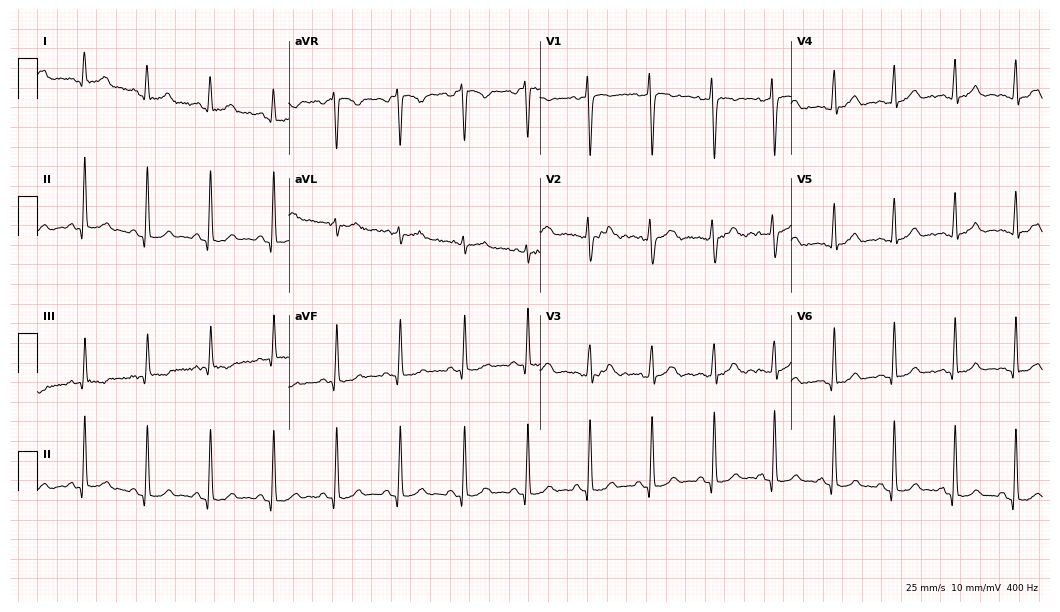
12-lead ECG from a woman, 23 years old (10.2-second recording at 400 Hz). Recorded interpretation: within normal limits.